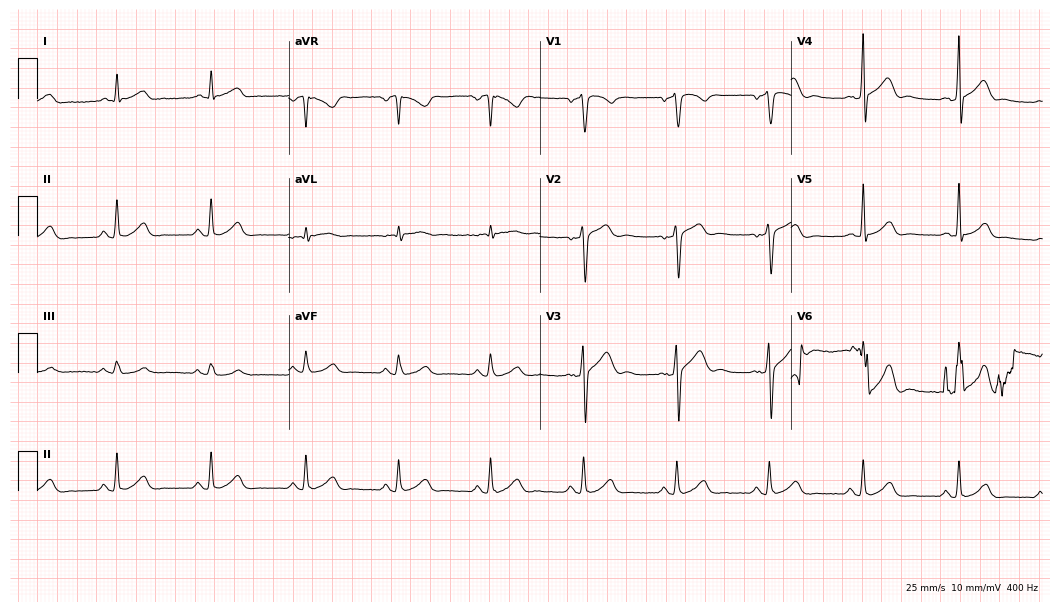
12-lead ECG from a man, 52 years old. Recorded interpretation: within normal limits.